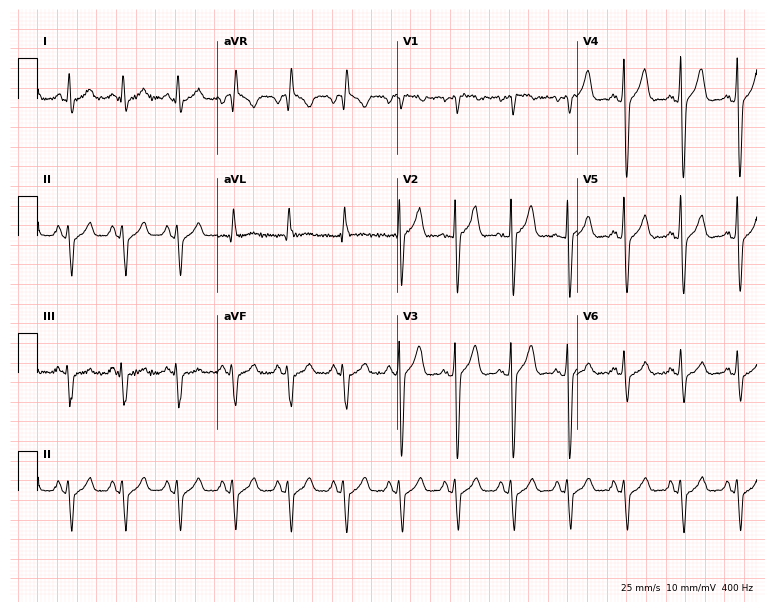
ECG (7.3-second recording at 400 Hz) — a 71-year-old male patient. Screened for six findings — first-degree AV block, right bundle branch block (RBBB), left bundle branch block (LBBB), sinus bradycardia, atrial fibrillation (AF), sinus tachycardia — none is recorded. Only these six findings were labelled.